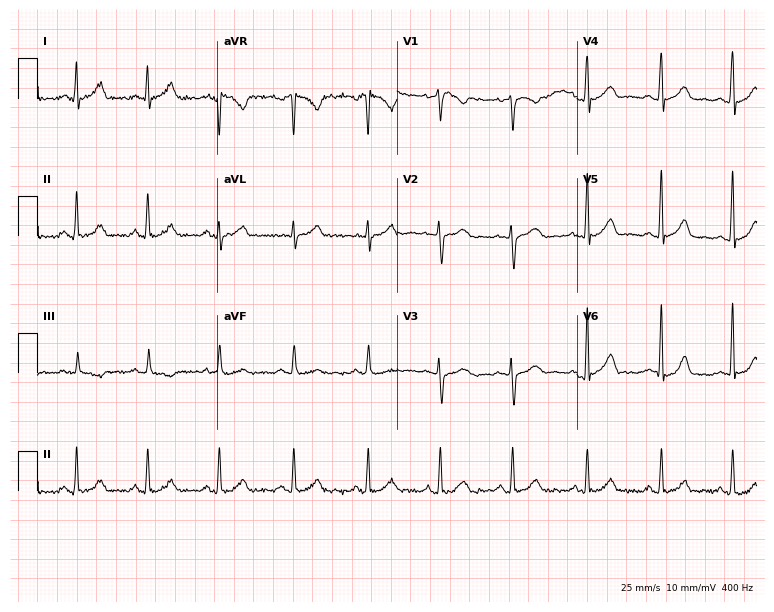
ECG (7.3-second recording at 400 Hz) — a female, 31 years old. Screened for six findings — first-degree AV block, right bundle branch block (RBBB), left bundle branch block (LBBB), sinus bradycardia, atrial fibrillation (AF), sinus tachycardia — none is recorded.